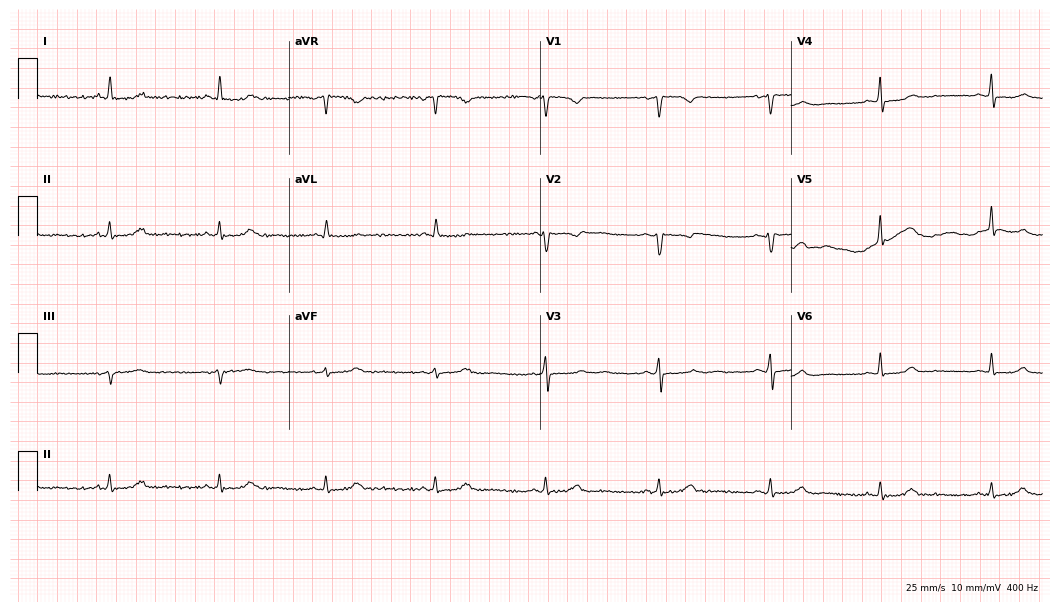
12-lead ECG from a female patient, 53 years old. No first-degree AV block, right bundle branch block, left bundle branch block, sinus bradycardia, atrial fibrillation or sinus tachycardia recorded for this tracing. Other findings, if any, are not listed.